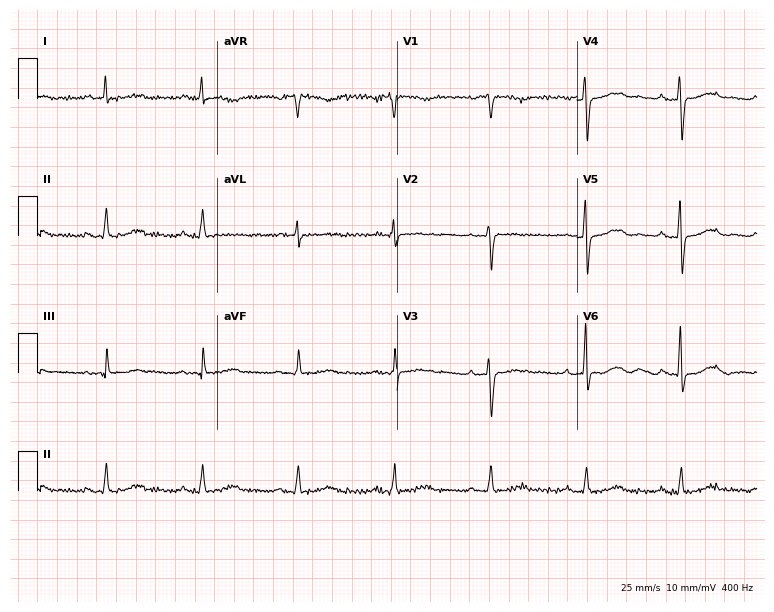
Standard 12-lead ECG recorded from a 76-year-old female patient. The tracing shows first-degree AV block.